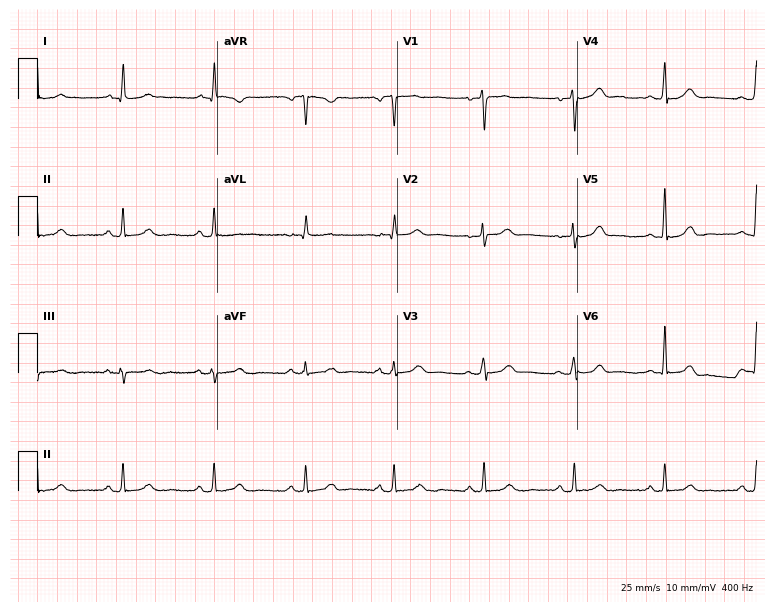
Resting 12-lead electrocardiogram (7.3-second recording at 400 Hz). Patient: a female, 34 years old. Read as a normal ECG.